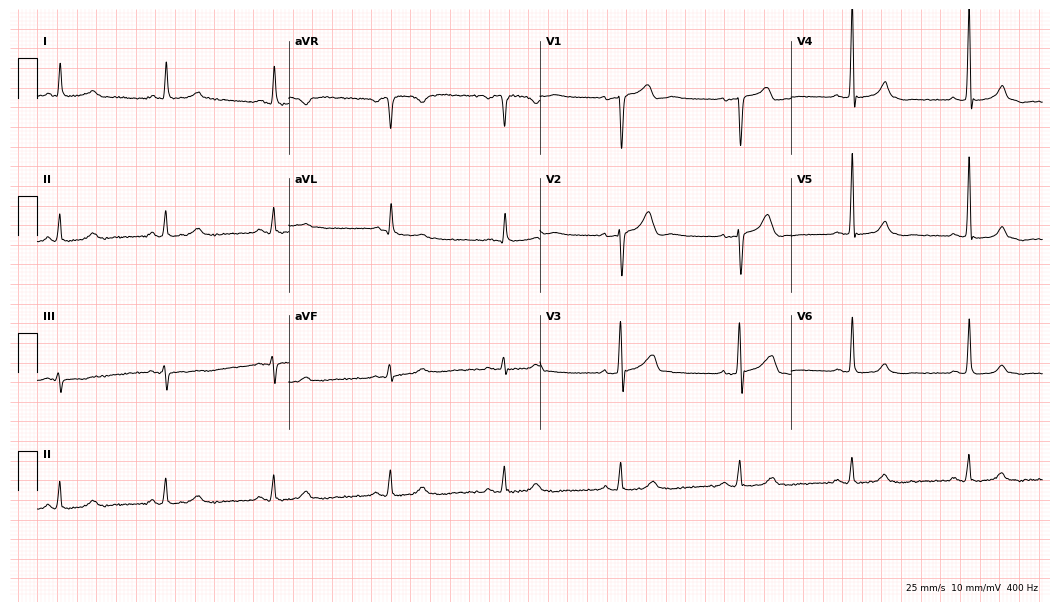
Electrocardiogram, a male patient, 49 years old. Overall reading on record: normal ECG.